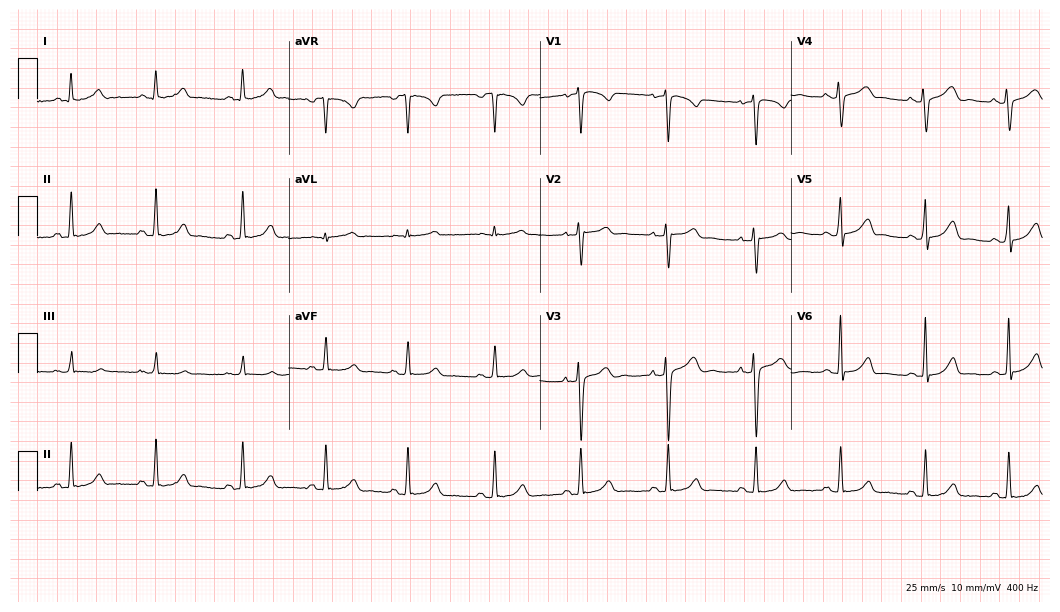
ECG — a female patient, 35 years old. Labelled as a normal ECG.